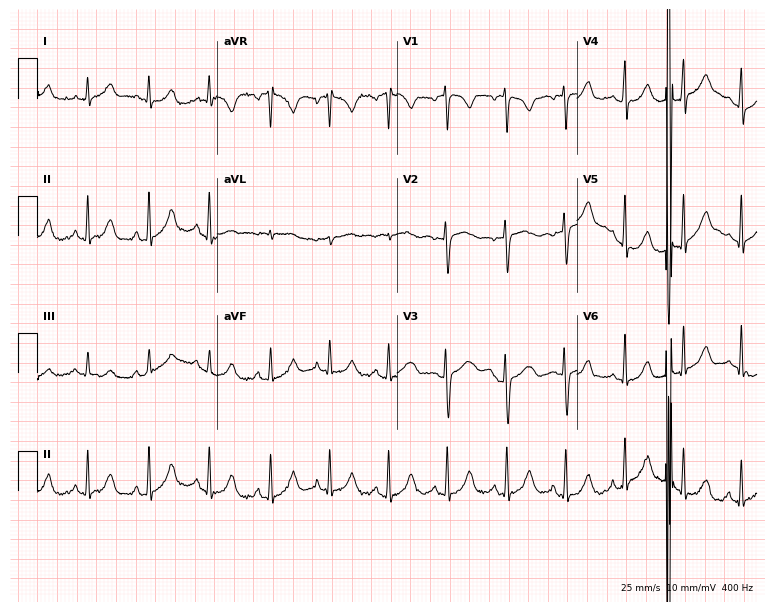
12-lead ECG from a woman, 26 years old. No first-degree AV block, right bundle branch block, left bundle branch block, sinus bradycardia, atrial fibrillation or sinus tachycardia recorded for this tracing.